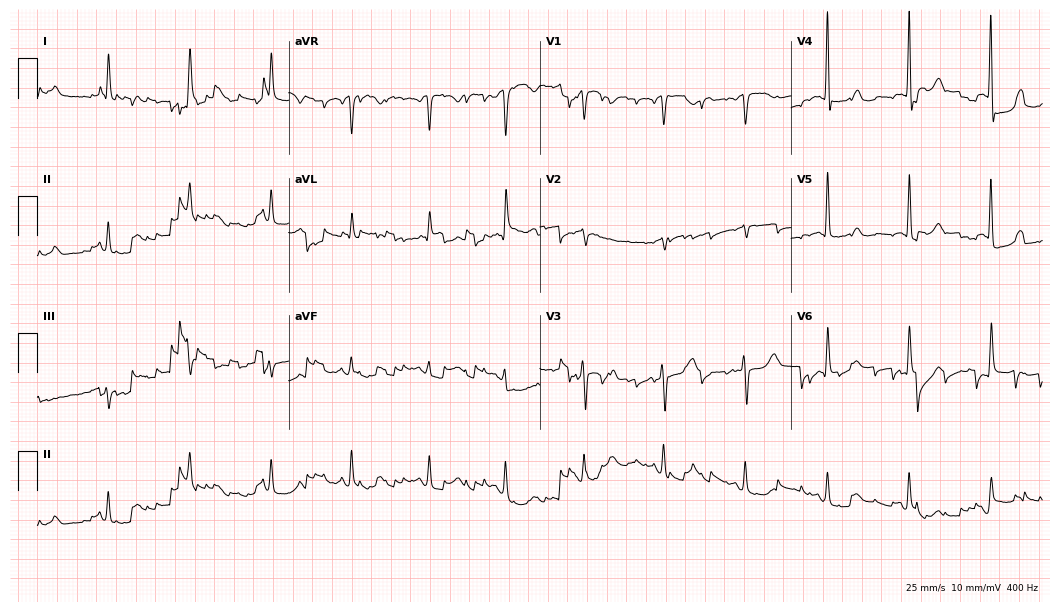
ECG (10.2-second recording at 400 Hz) — a woman, 61 years old. Screened for six findings — first-degree AV block, right bundle branch block (RBBB), left bundle branch block (LBBB), sinus bradycardia, atrial fibrillation (AF), sinus tachycardia — none is recorded.